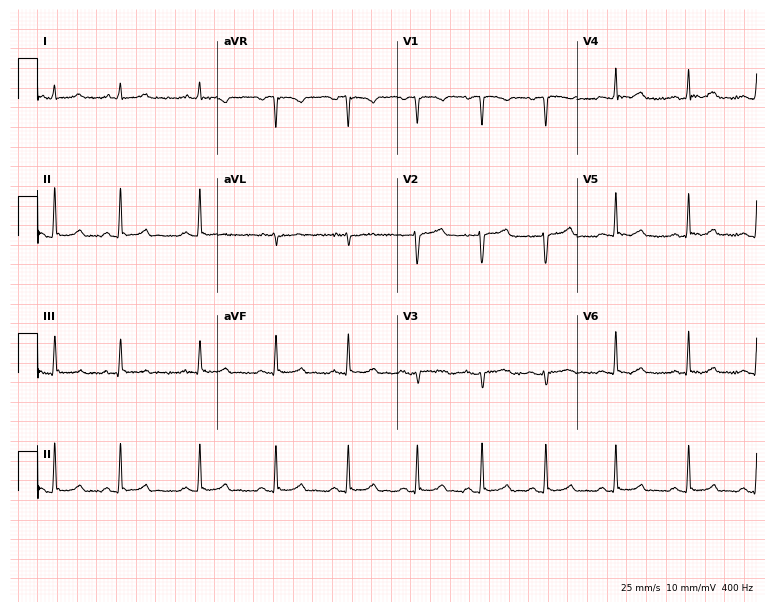
Electrocardiogram (7.3-second recording at 400 Hz), a female, 19 years old. Overall reading on record: normal ECG.